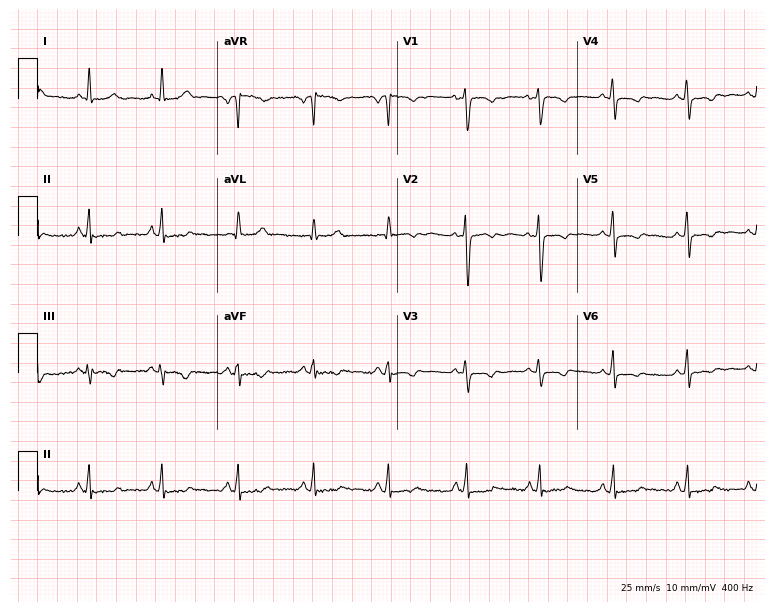
12-lead ECG (7.3-second recording at 400 Hz) from a 36-year-old female patient. Screened for six findings — first-degree AV block, right bundle branch block, left bundle branch block, sinus bradycardia, atrial fibrillation, sinus tachycardia — none is recorded.